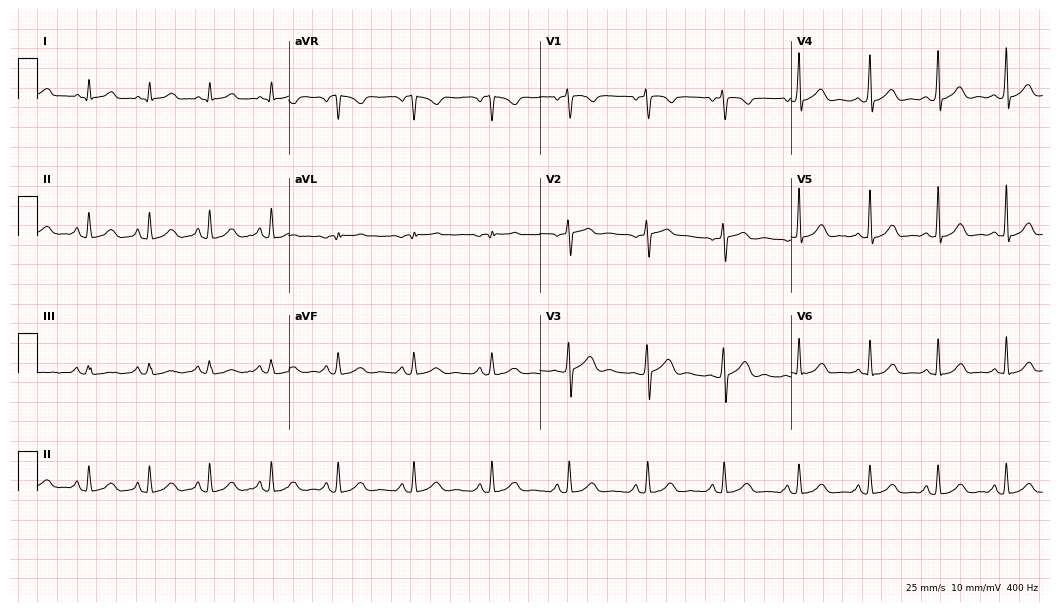
ECG (10.2-second recording at 400 Hz) — a female, 38 years old. Labelled as a normal ECG.